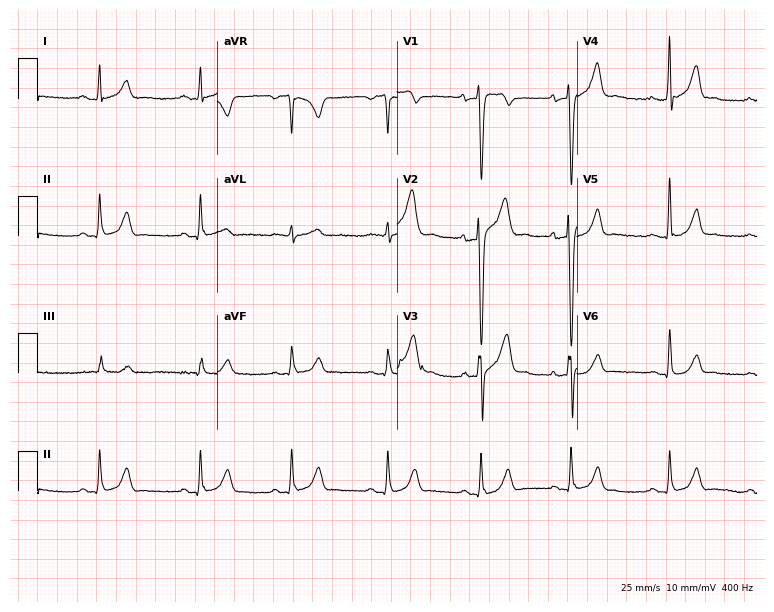
Standard 12-lead ECG recorded from a 29-year-old man. None of these six findings is recorded: first-degree AV block, right bundle branch block, left bundle branch block, sinus bradycardia, atrial fibrillation, sinus tachycardia.